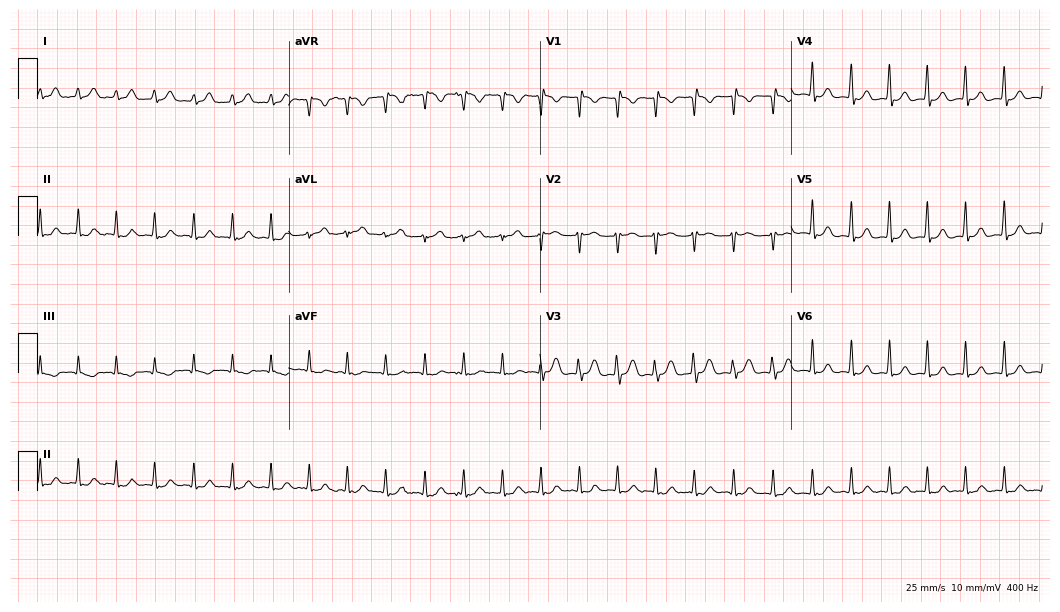
Resting 12-lead electrocardiogram (10.2-second recording at 400 Hz). Patient: a 21-year-old female. The tracing shows sinus tachycardia (a sinus rate of 100 beats per minute or more).